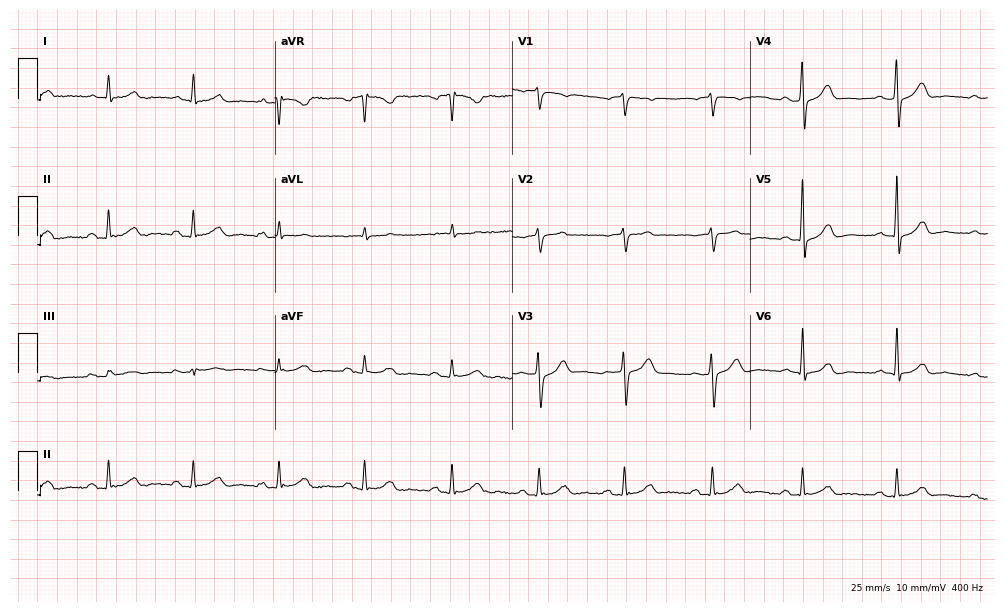
12-lead ECG (9.7-second recording at 400 Hz) from a male patient, 67 years old. Labelled as a normal ECG.